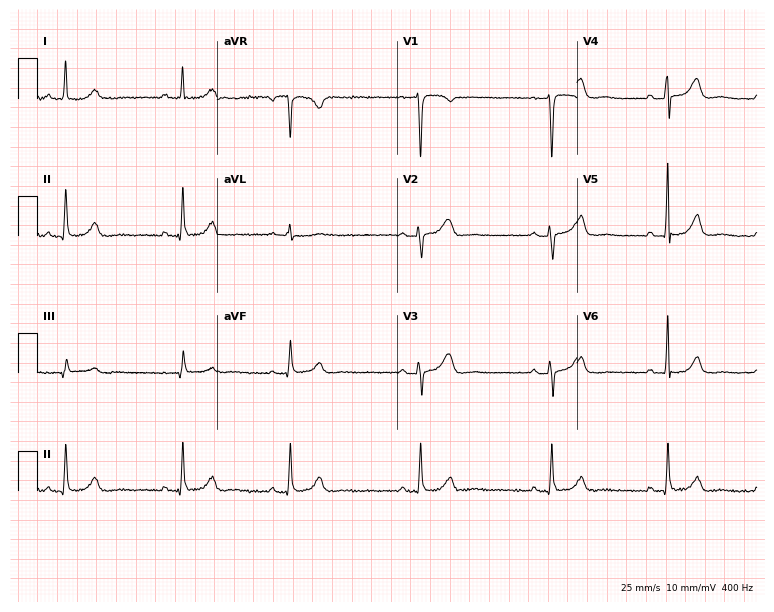
12-lead ECG from a 31-year-old female patient. Labelled as a normal ECG.